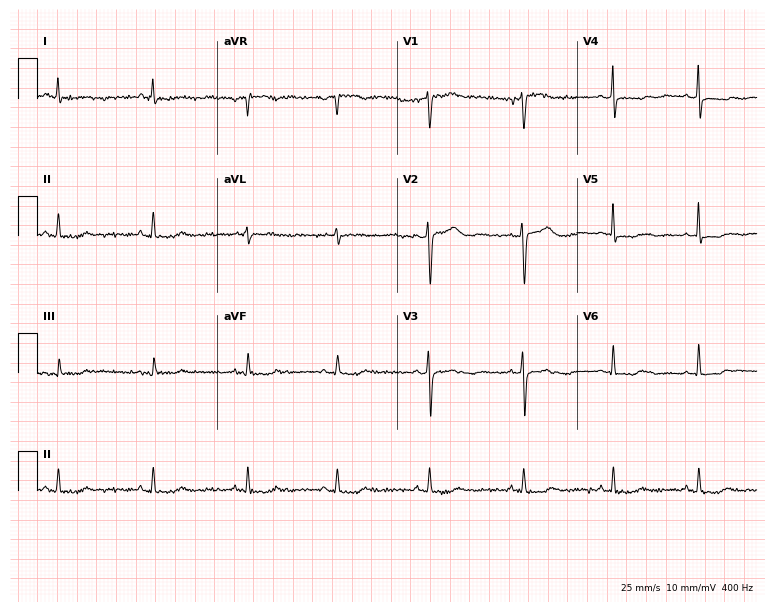
Standard 12-lead ECG recorded from a female patient, 54 years old. None of these six findings is recorded: first-degree AV block, right bundle branch block, left bundle branch block, sinus bradycardia, atrial fibrillation, sinus tachycardia.